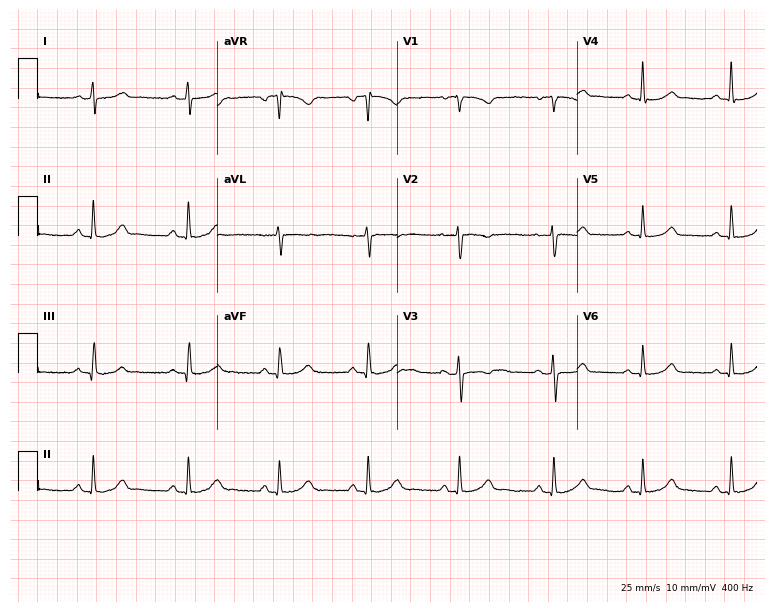
Resting 12-lead electrocardiogram. Patient: a woman, 26 years old. Read as a normal ECG.